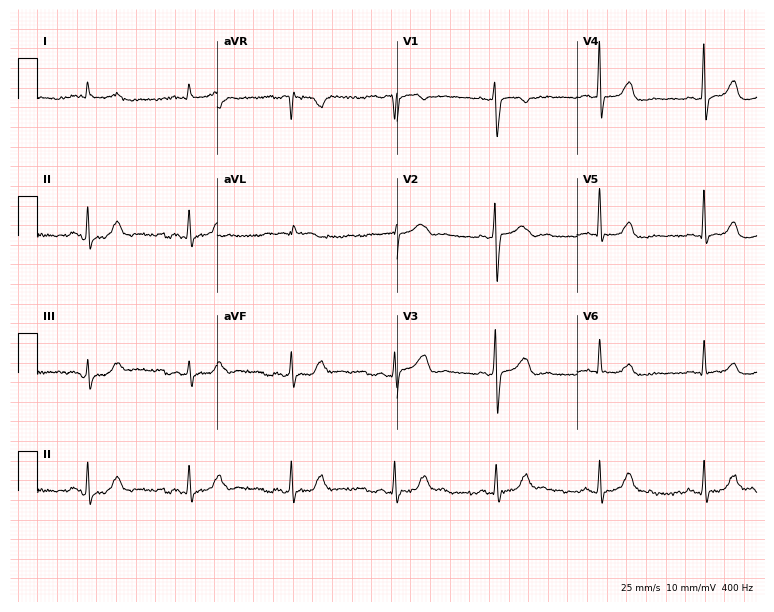
Resting 12-lead electrocardiogram. Patient: a 56-year-old man. None of these six findings is recorded: first-degree AV block, right bundle branch block (RBBB), left bundle branch block (LBBB), sinus bradycardia, atrial fibrillation (AF), sinus tachycardia. Only these six findings were labelled.